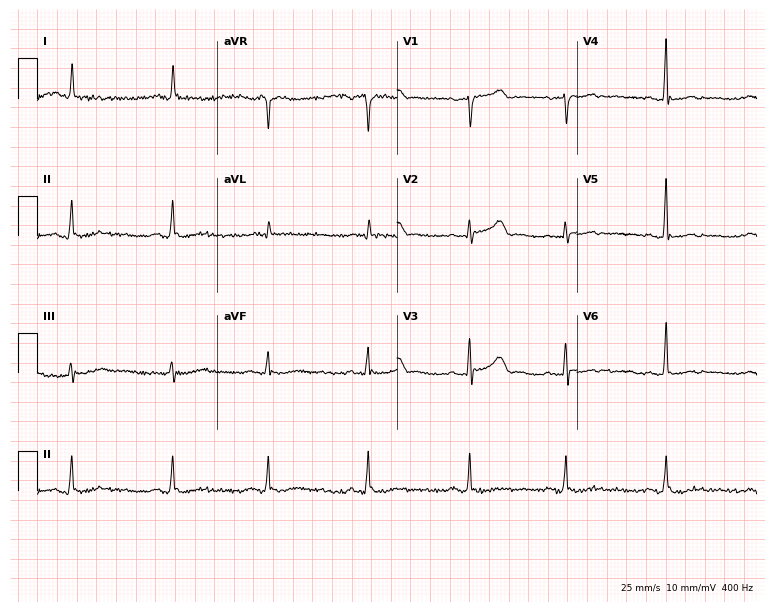
ECG — a woman, 80 years old. Screened for six findings — first-degree AV block, right bundle branch block (RBBB), left bundle branch block (LBBB), sinus bradycardia, atrial fibrillation (AF), sinus tachycardia — none is recorded.